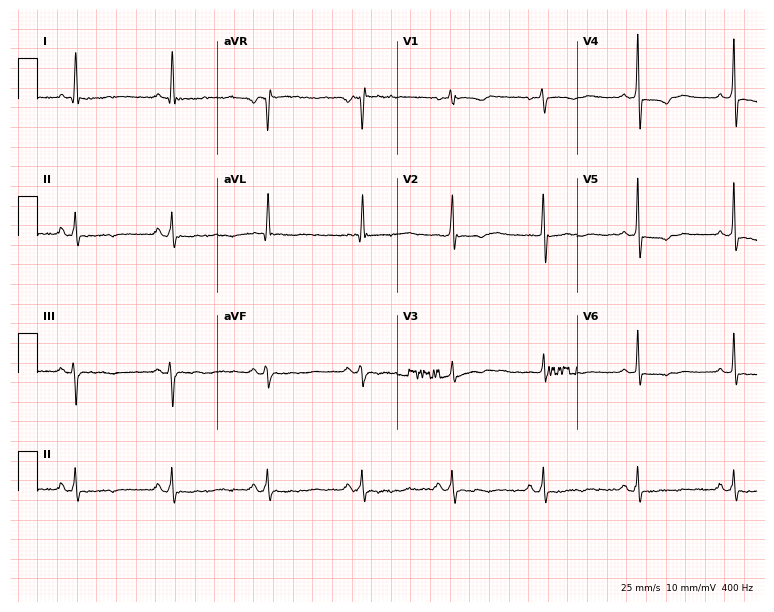
ECG (7.3-second recording at 400 Hz) — a 60-year-old female patient. Screened for six findings — first-degree AV block, right bundle branch block, left bundle branch block, sinus bradycardia, atrial fibrillation, sinus tachycardia — none is recorded.